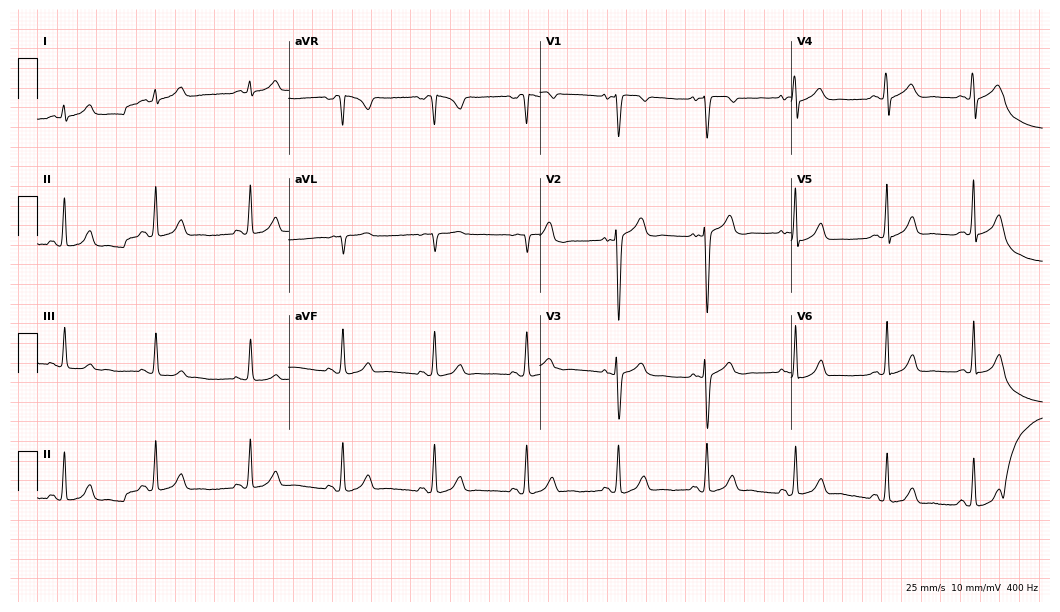
Standard 12-lead ECG recorded from a 42-year-old female patient (10.2-second recording at 400 Hz). Read as a normal ECG.